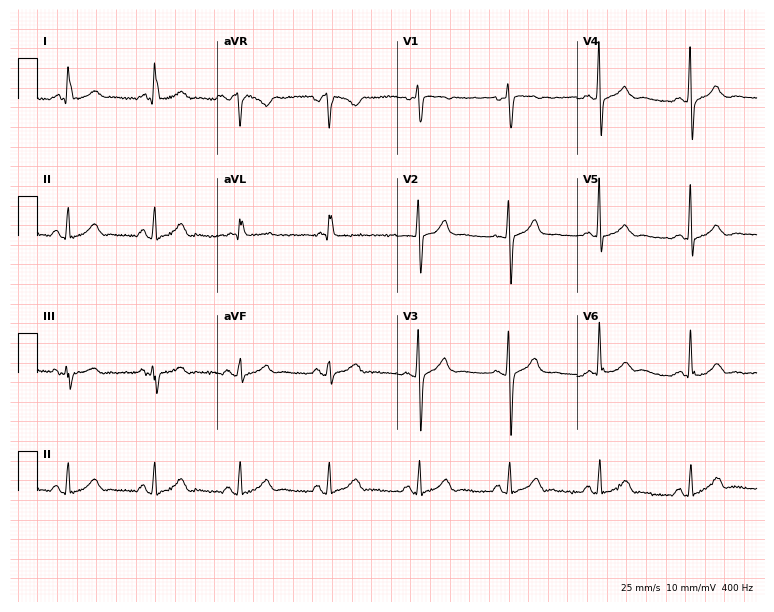
Standard 12-lead ECG recorded from a 55-year-old woman. Read as a normal ECG.